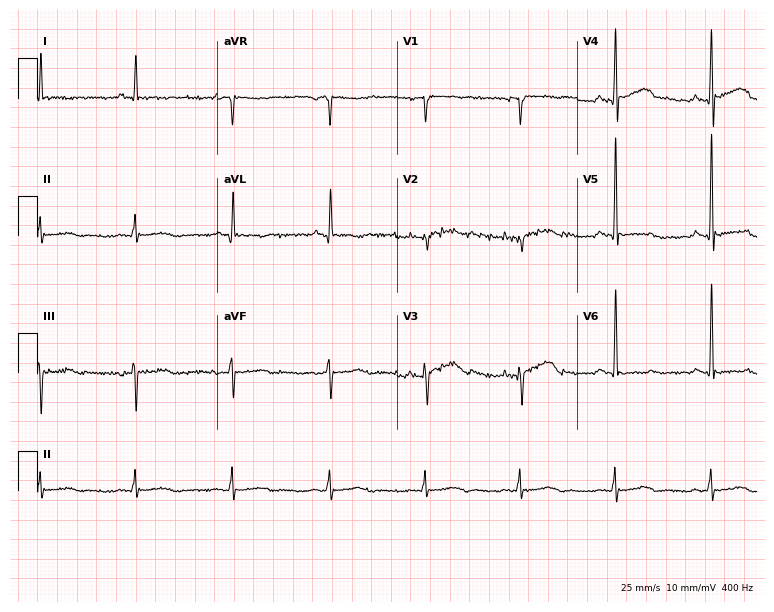
12-lead ECG from a male patient, 62 years old (7.3-second recording at 400 Hz). No first-degree AV block, right bundle branch block (RBBB), left bundle branch block (LBBB), sinus bradycardia, atrial fibrillation (AF) or sinus tachycardia recorded for this tracing. Findings outside these six are not listed.